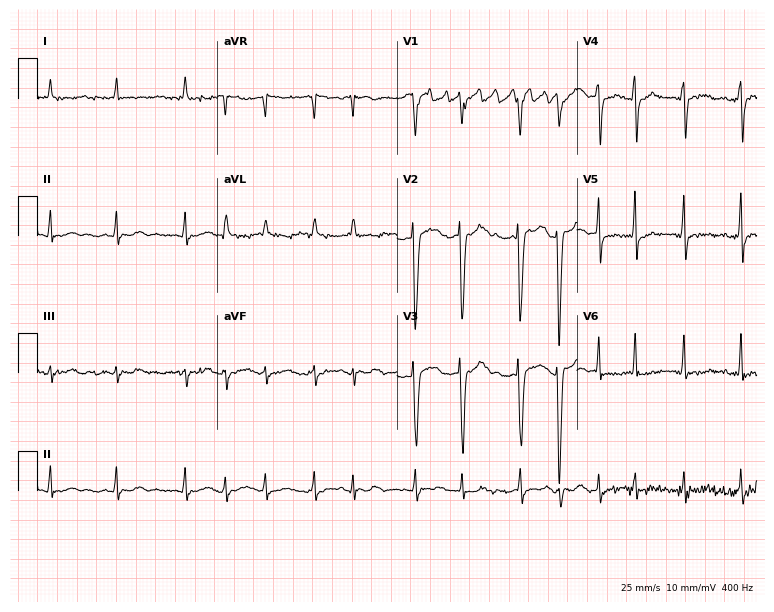
Standard 12-lead ECG recorded from a female patient, 74 years old (7.3-second recording at 400 Hz). The tracing shows atrial fibrillation (AF).